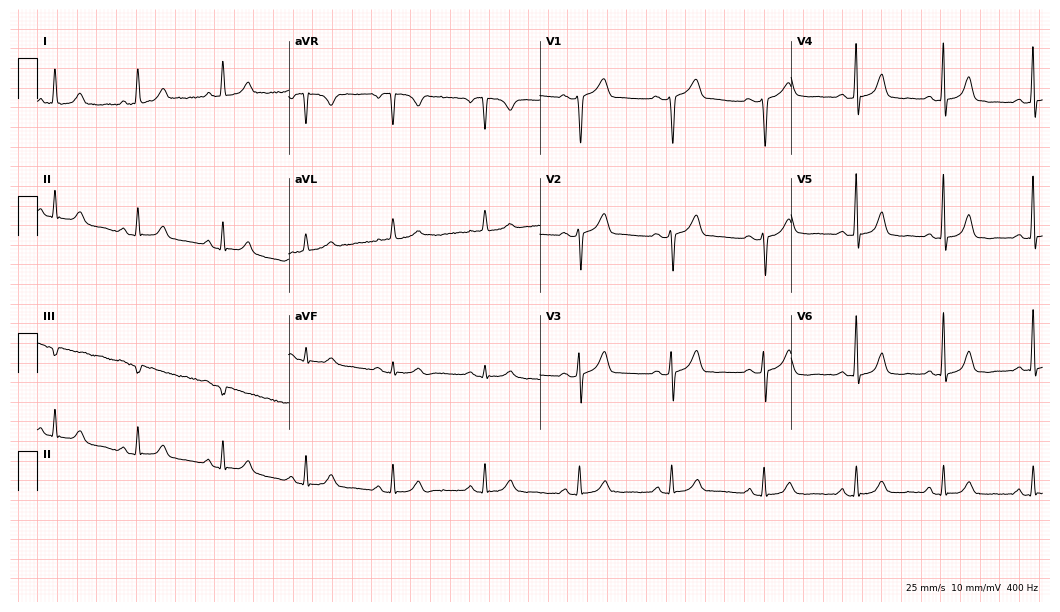
Electrocardiogram, a 72-year-old female. Of the six screened findings (first-degree AV block, right bundle branch block, left bundle branch block, sinus bradycardia, atrial fibrillation, sinus tachycardia), none is recorded.